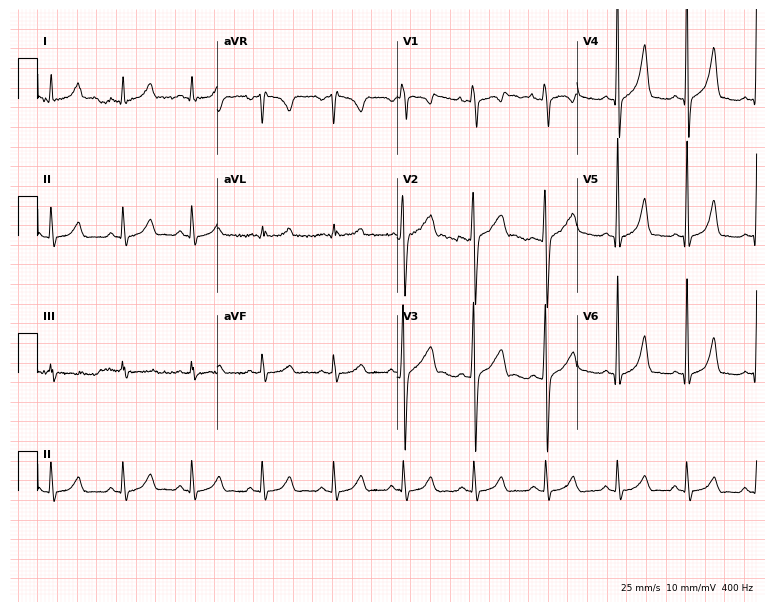
Resting 12-lead electrocardiogram (7.3-second recording at 400 Hz). Patient: a male, 17 years old. None of these six findings is recorded: first-degree AV block, right bundle branch block, left bundle branch block, sinus bradycardia, atrial fibrillation, sinus tachycardia. Only these six findings were labelled.